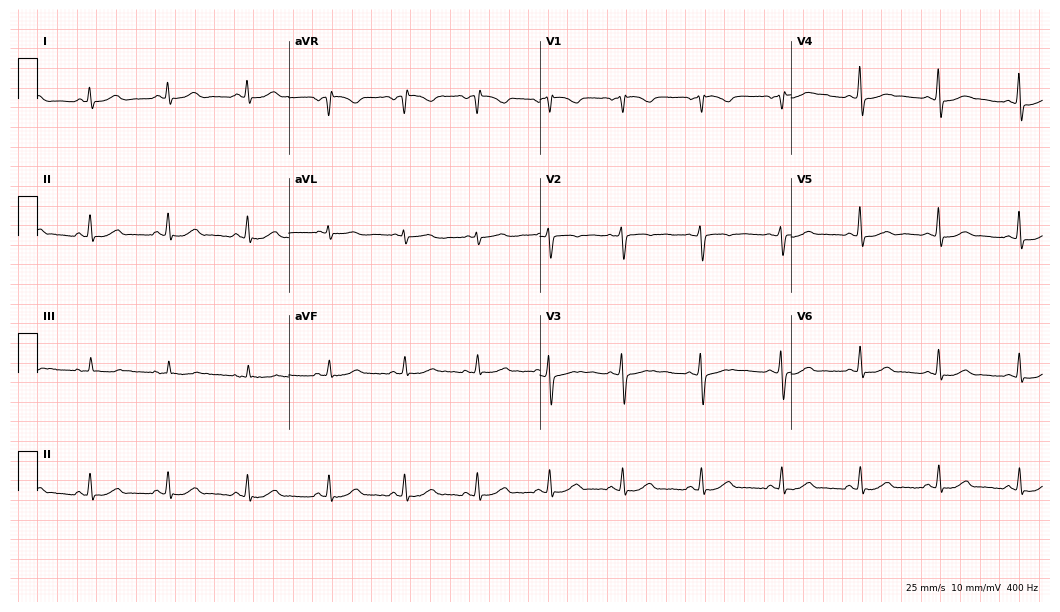
12-lead ECG from a 45-year-old woman. Labelled as a normal ECG.